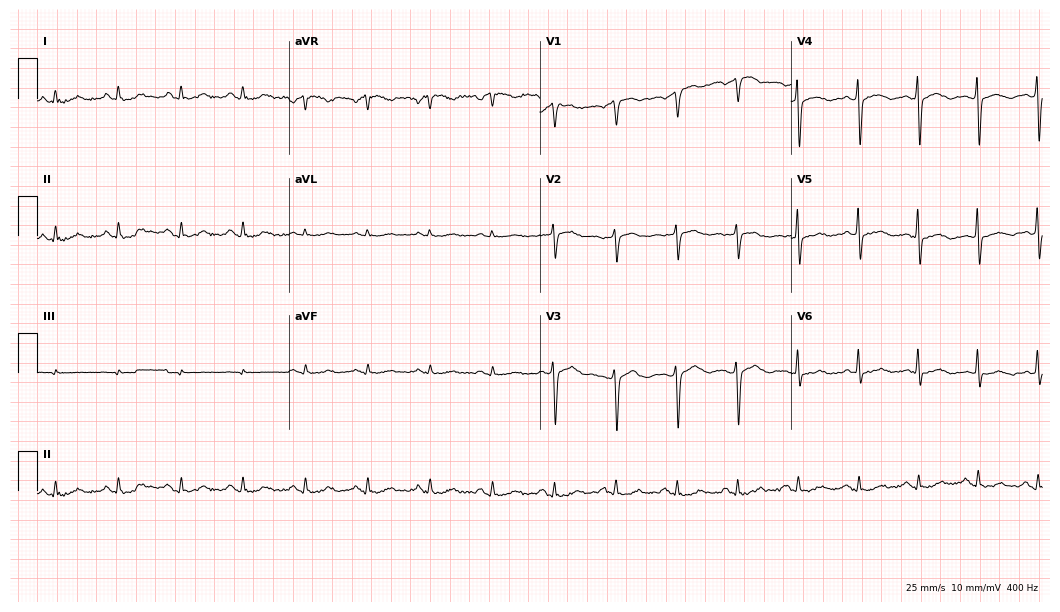
12-lead ECG (10.2-second recording at 400 Hz) from a man, 62 years old. Screened for six findings — first-degree AV block, right bundle branch block, left bundle branch block, sinus bradycardia, atrial fibrillation, sinus tachycardia — none is recorded. Only these six findings were labelled.